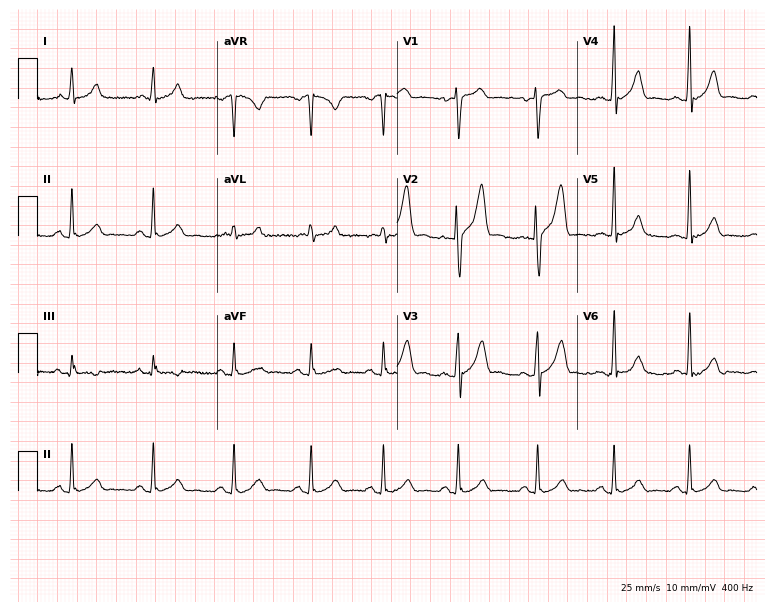
ECG (7.3-second recording at 400 Hz) — a male patient, 21 years old. Screened for six findings — first-degree AV block, right bundle branch block, left bundle branch block, sinus bradycardia, atrial fibrillation, sinus tachycardia — none is recorded.